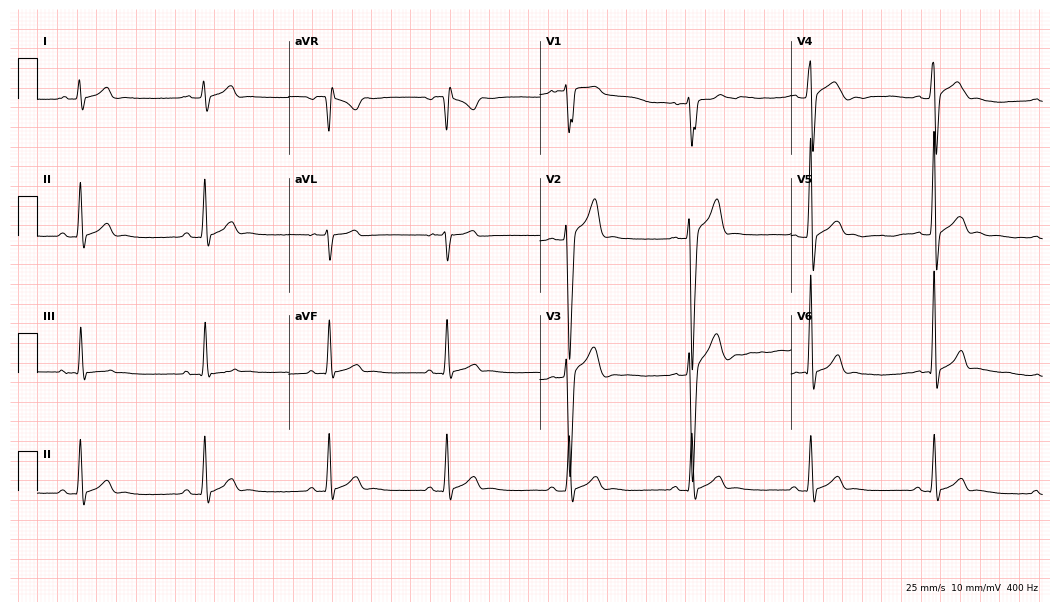
Resting 12-lead electrocardiogram. Patient: a 22-year-old male. The tracing shows sinus bradycardia (a sinus rate of 50 beats per minute or less).